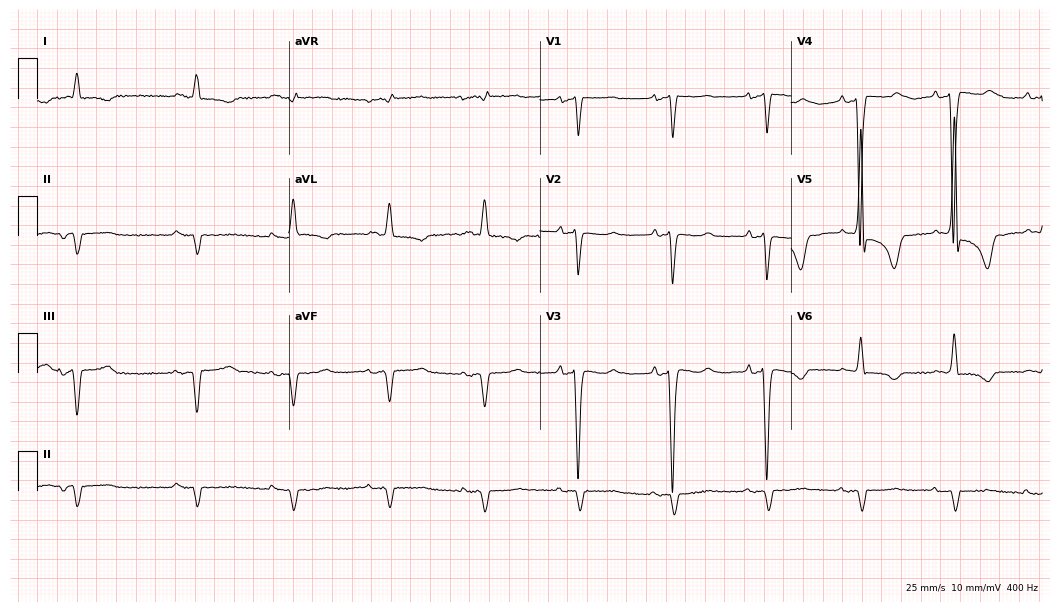
ECG — a male, 60 years old. Screened for six findings — first-degree AV block, right bundle branch block (RBBB), left bundle branch block (LBBB), sinus bradycardia, atrial fibrillation (AF), sinus tachycardia — none is recorded.